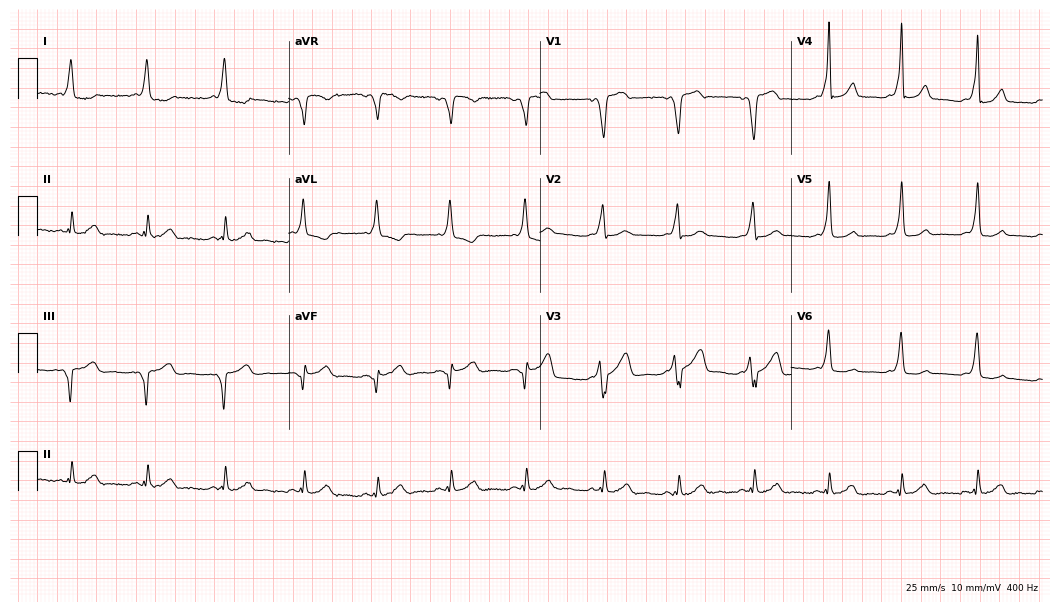
12-lead ECG from a 23-year-old female patient (10.2-second recording at 400 Hz). No first-degree AV block, right bundle branch block, left bundle branch block, sinus bradycardia, atrial fibrillation or sinus tachycardia recorded for this tracing.